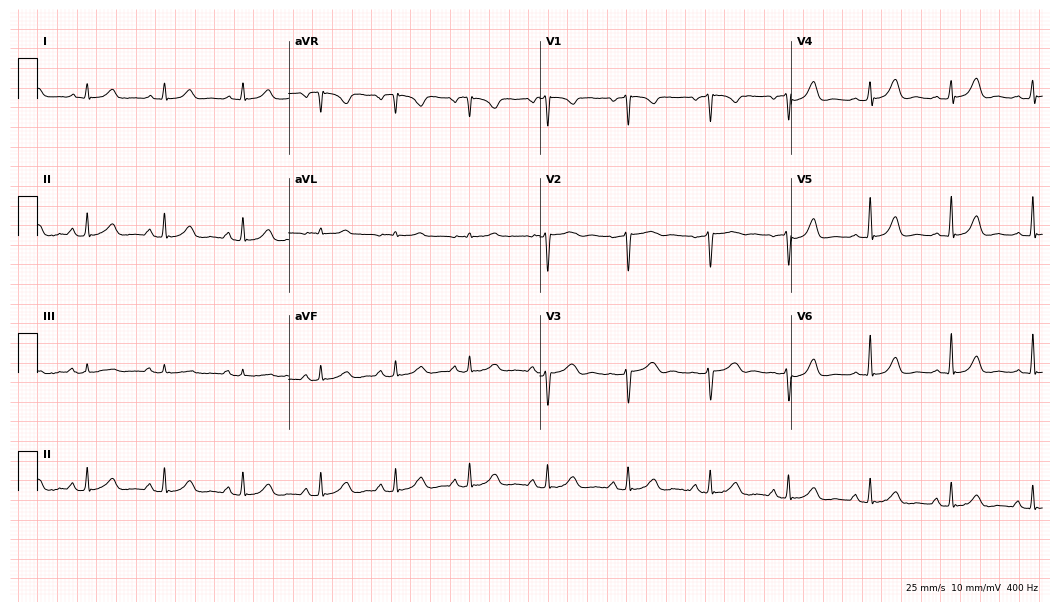
Standard 12-lead ECG recorded from a female patient, 64 years old (10.2-second recording at 400 Hz). Read as a normal ECG.